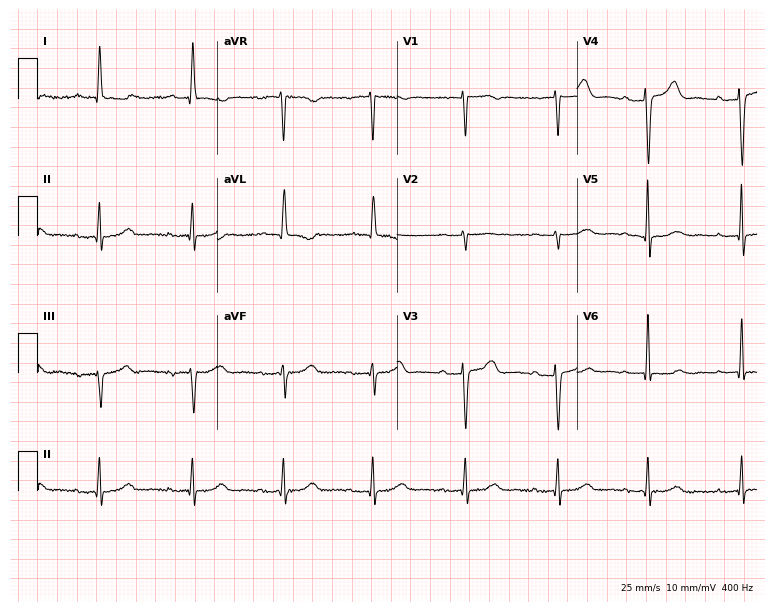
Electrocardiogram (7.3-second recording at 400 Hz), a 68-year-old female. Interpretation includes first-degree AV block.